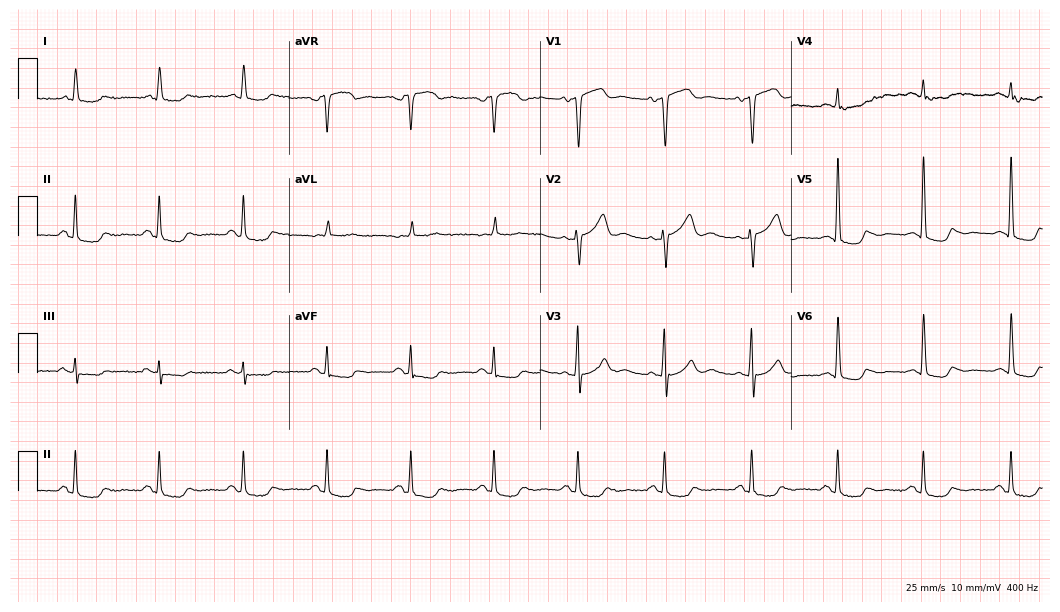
ECG (10.2-second recording at 400 Hz) — a 73-year-old male. Screened for six findings — first-degree AV block, right bundle branch block, left bundle branch block, sinus bradycardia, atrial fibrillation, sinus tachycardia — none is recorded.